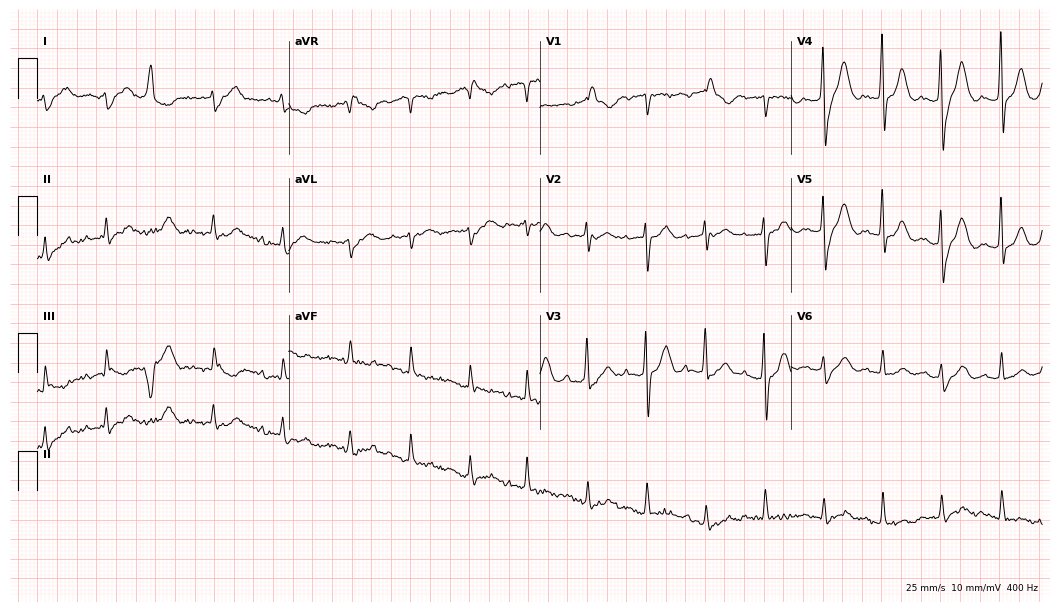
12-lead ECG (10.2-second recording at 400 Hz) from a man, 86 years old. Screened for six findings — first-degree AV block, right bundle branch block, left bundle branch block, sinus bradycardia, atrial fibrillation, sinus tachycardia — none is recorded.